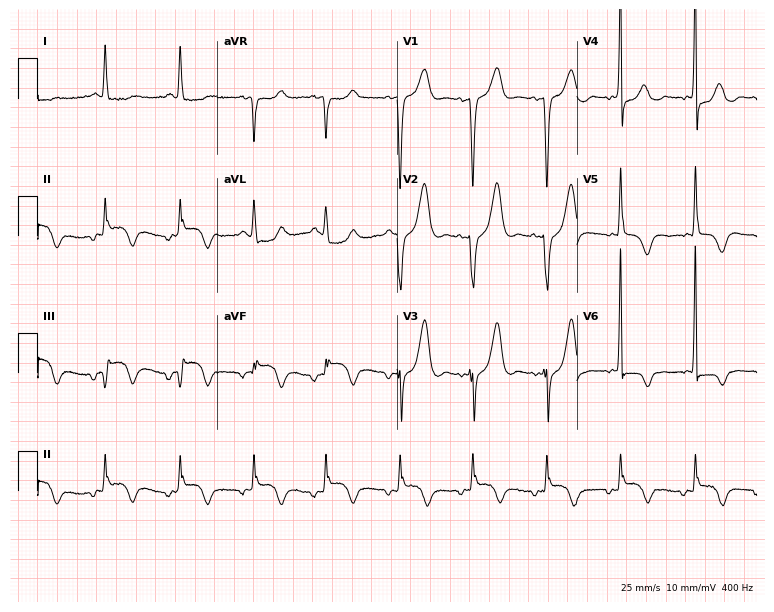
12-lead ECG from a 62-year-old woman. No first-degree AV block, right bundle branch block, left bundle branch block, sinus bradycardia, atrial fibrillation or sinus tachycardia recorded for this tracing. Findings outside these six are not listed.